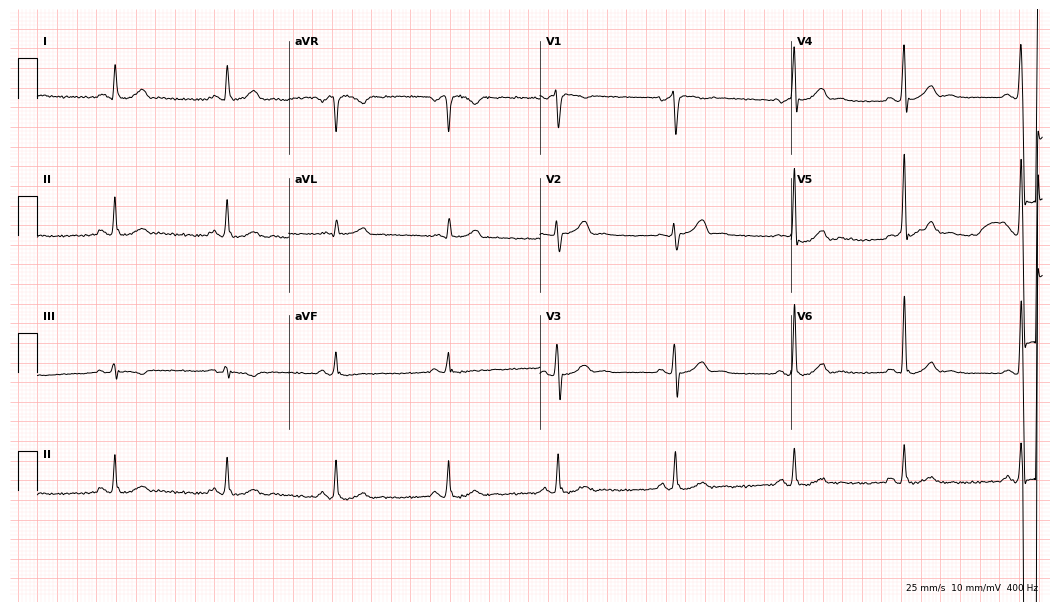
Standard 12-lead ECG recorded from a male, 39 years old (10.2-second recording at 400 Hz). Read as a normal ECG.